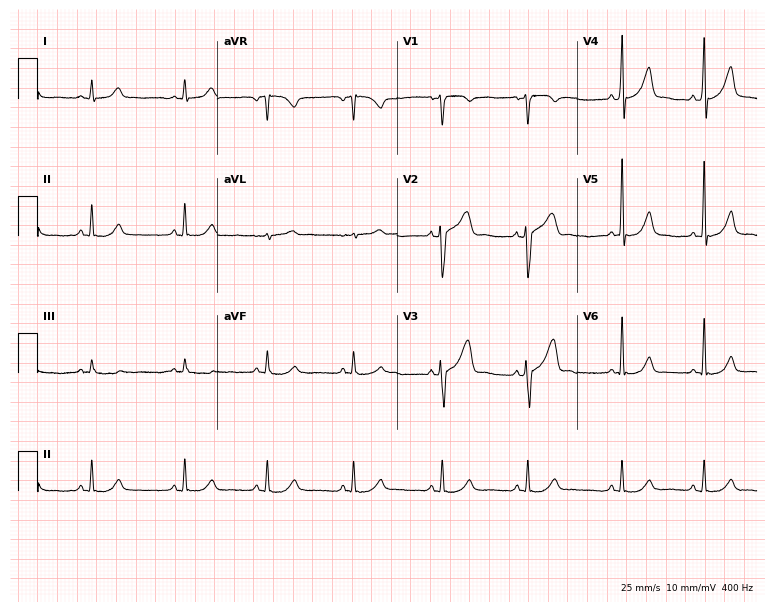
ECG — a man, 57 years old. Labelled as a normal ECG.